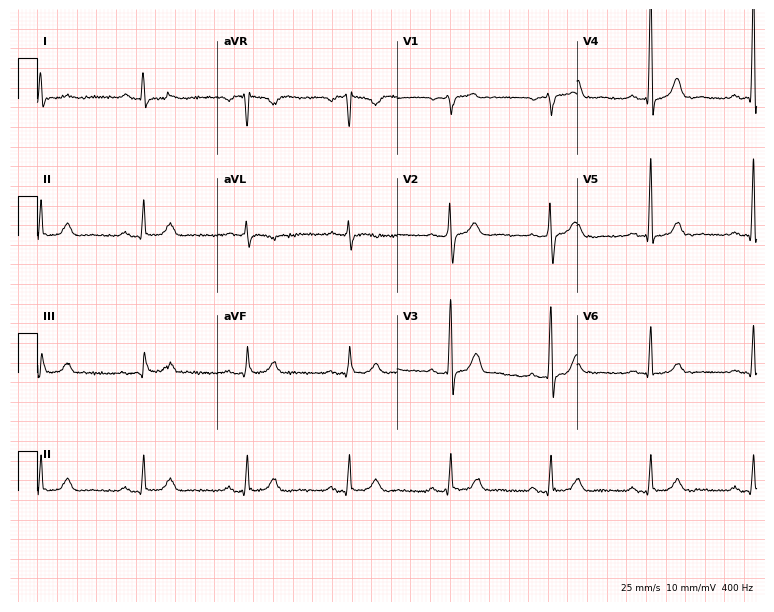
Resting 12-lead electrocardiogram (7.3-second recording at 400 Hz). Patient: a 63-year-old male. Read as a normal ECG.